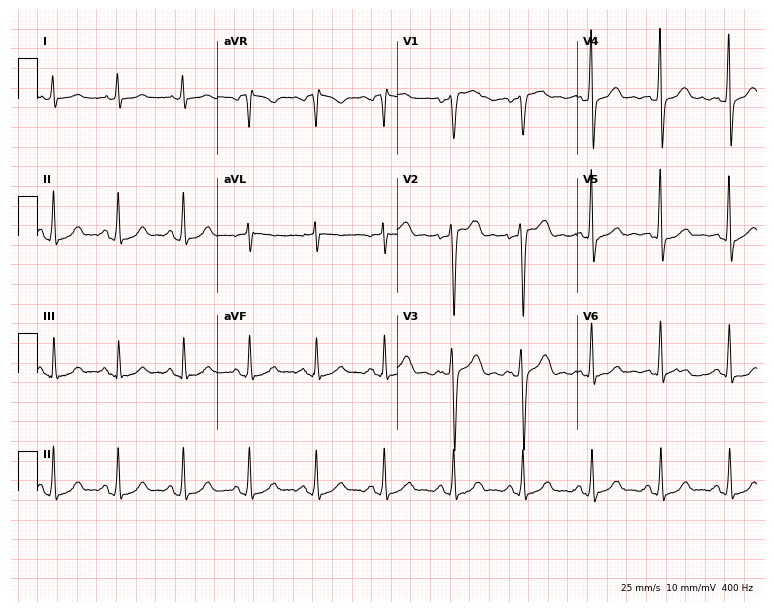
Resting 12-lead electrocardiogram (7.3-second recording at 400 Hz). Patient: a male, 53 years old. Read as a normal ECG.